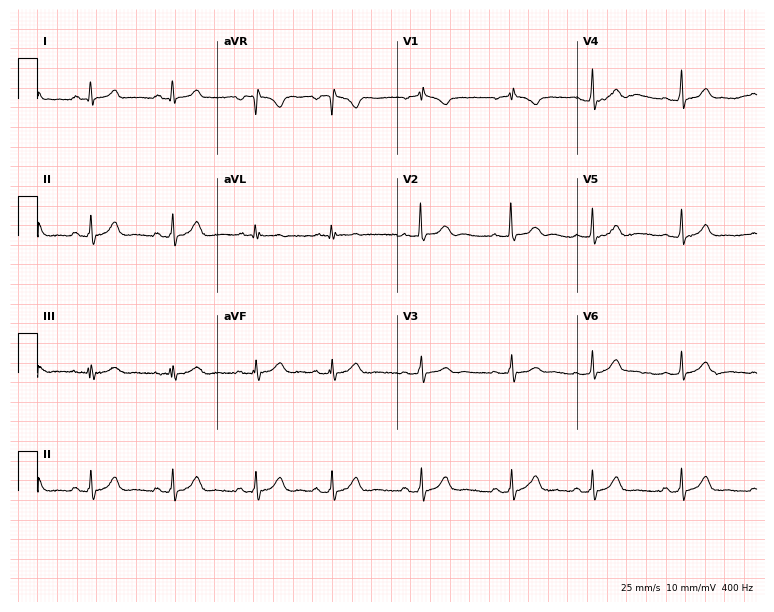
Electrocardiogram, a 17-year-old female. Overall reading on record: normal ECG.